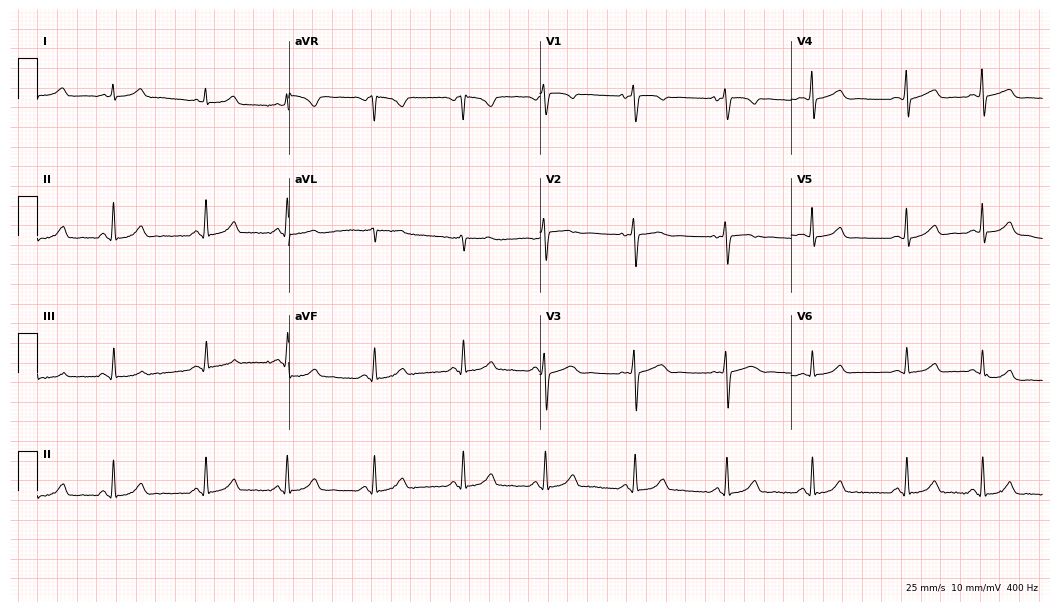
12-lead ECG from a woman, 22 years old. Screened for six findings — first-degree AV block, right bundle branch block, left bundle branch block, sinus bradycardia, atrial fibrillation, sinus tachycardia — none is recorded. Other findings, if any, are not listed.